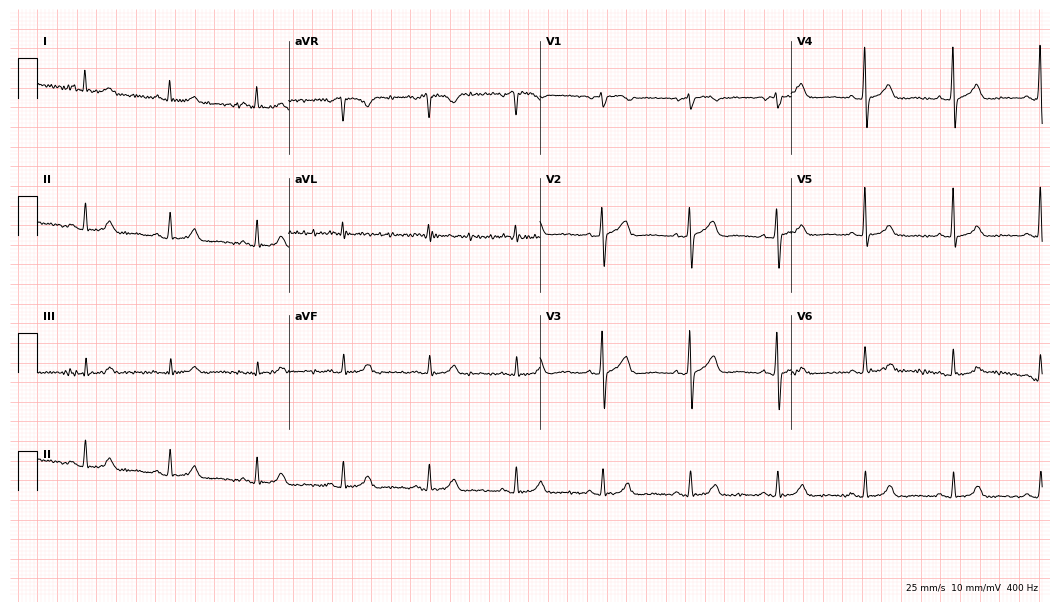
Resting 12-lead electrocardiogram. Patient: a 65-year-old female. Read as a normal ECG.